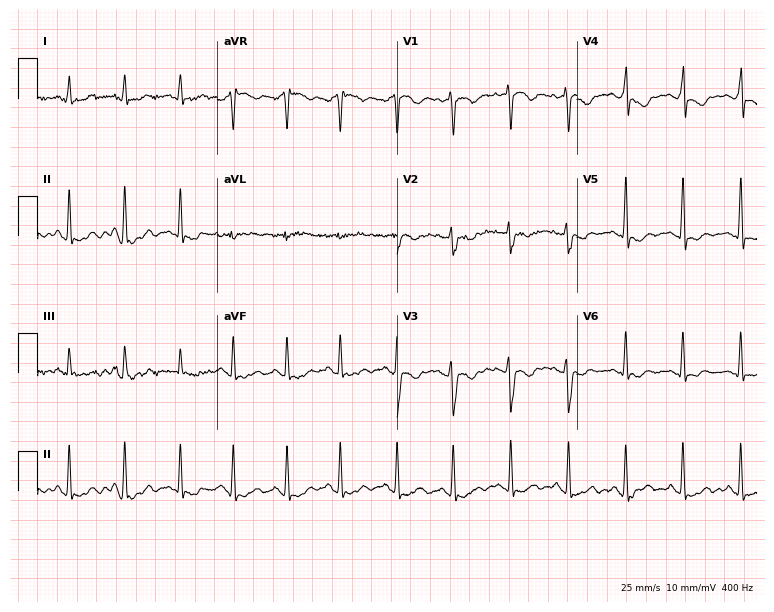
12-lead ECG from a 26-year-old woman. Findings include sinus tachycardia (a sinus rate of 100 beats per minute or more).